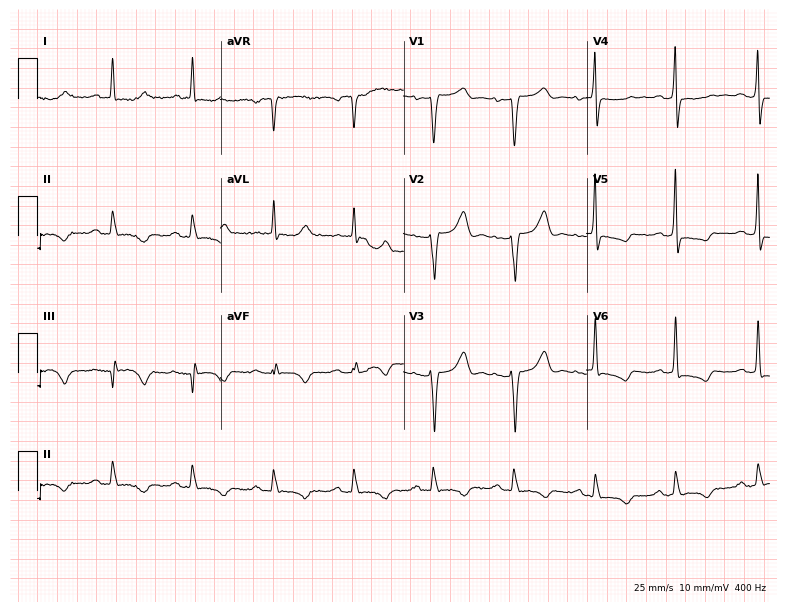
Resting 12-lead electrocardiogram. Patient: a 67-year-old female. None of these six findings is recorded: first-degree AV block, right bundle branch block, left bundle branch block, sinus bradycardia, atrial fibrillation, sinus tachycardia.